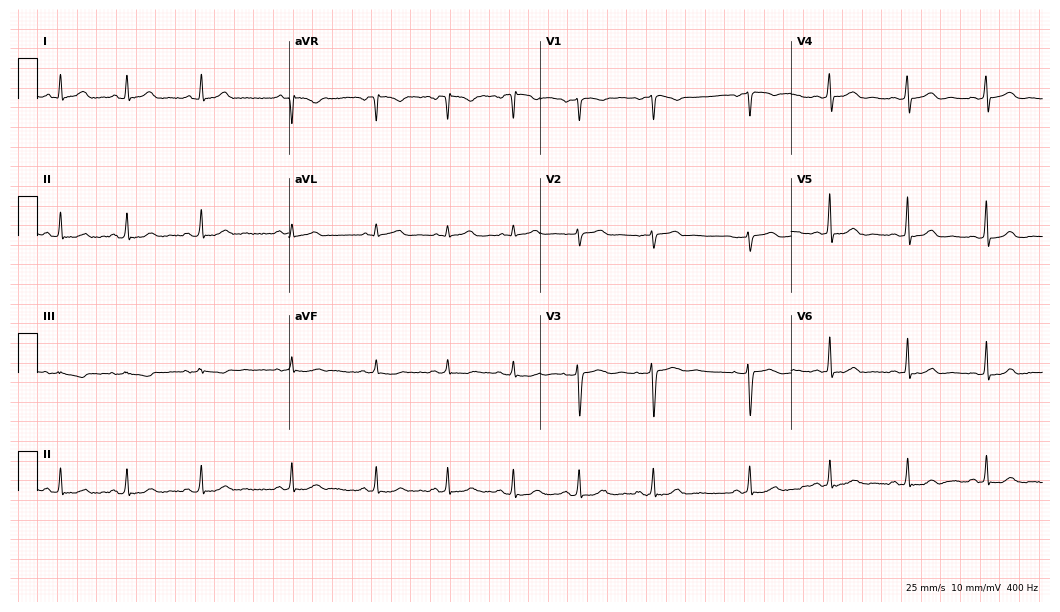
ECG (10.2-second recording at 400 Hz) — a female patient, 36 years old. Labelled as a normal ECG.